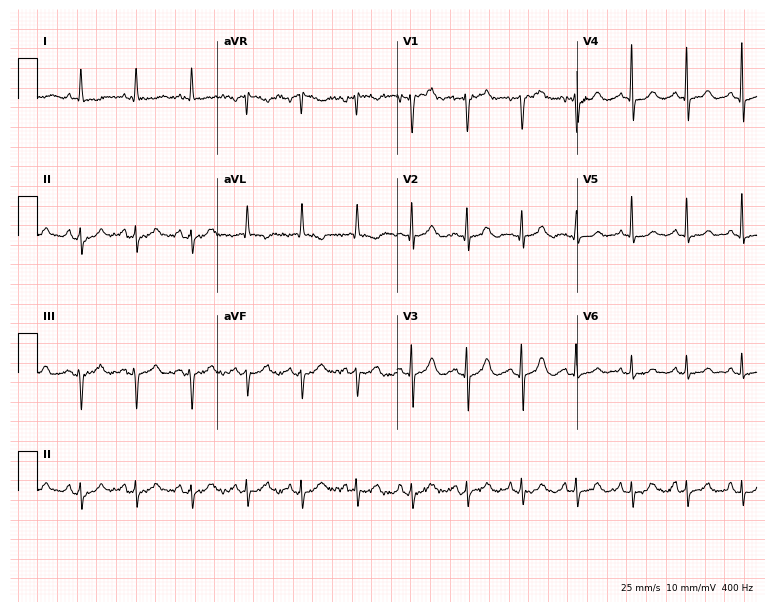
12-lead ECG (7.3-second recording at 400 Hz) from an 82-year-old female. Findings include sinus tachycardia (a sinus rate of 100 beats per minute or more).